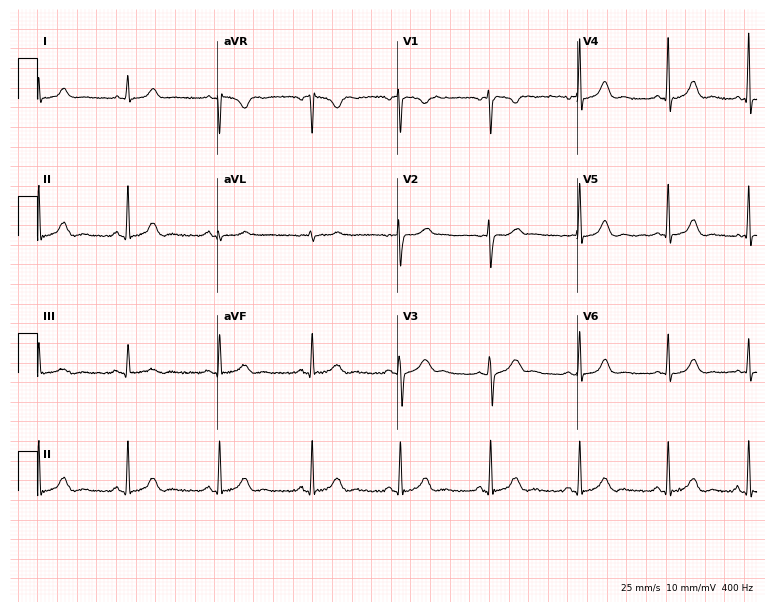
Standard 12-lead ECG recorded from a 29-year-old woman. Read as a normal ECG.